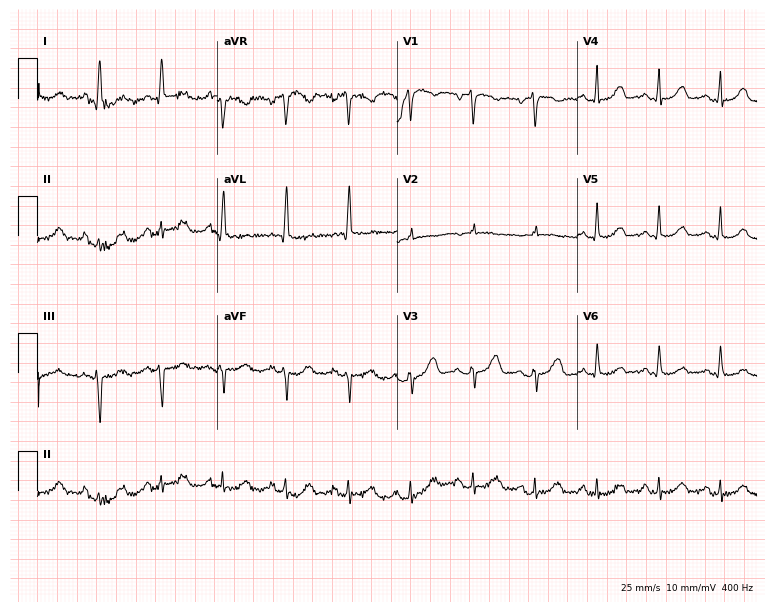
Electrocardiogram, a female patient, 52 years old. Of the six screened findings (first-degree AV block, right bundle branch block (RBBB), left bundle branch block (LBBB), sinus bradycardia, atrial fibrillation (AF), sinus tachycardia), none is recorded.